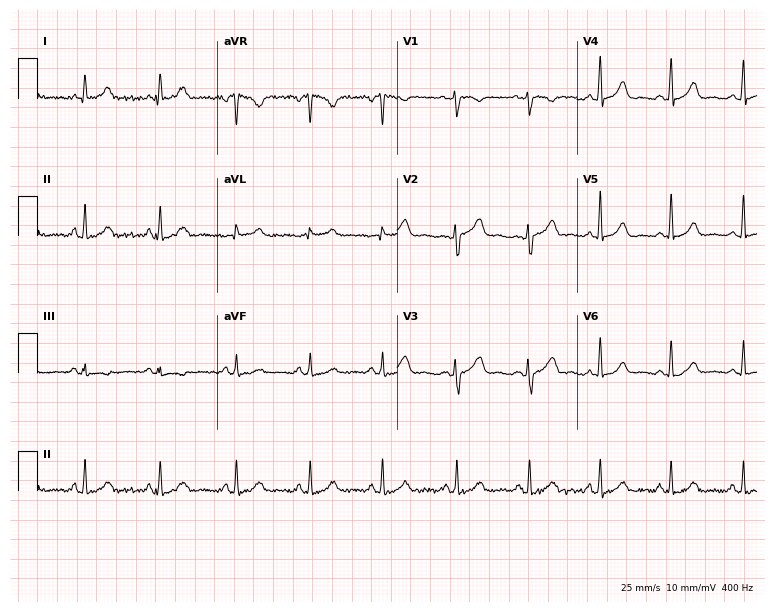
Electrocardiogram, a 39-year-old woman. Of the six screened findings (first-degree AV block, right bundle branch block, left bundle branch block, sinus bradycardia, atrial fibrillation, sinus tachycardia), none is recorded.